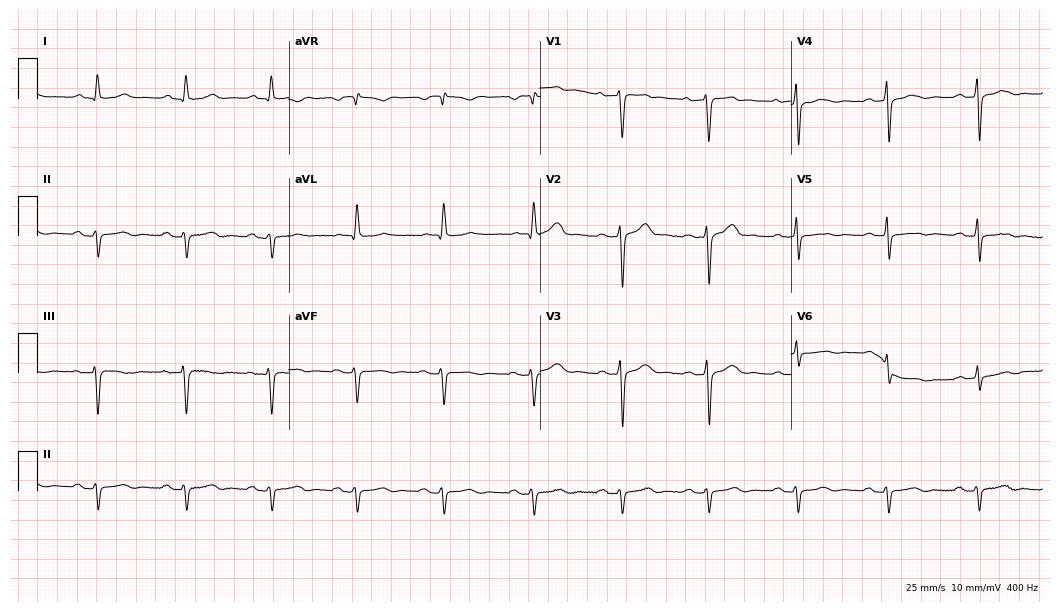
12-lead ECG from a 64-year-old man (10.2-second recording at 400 Hz). No first-degree AV block, right bundle branch block, left bundle branch block, sinus bradycardia, atrial fibrillation or sinus tachycardia recorded for this tracing. Other findings, if any, are not listed.